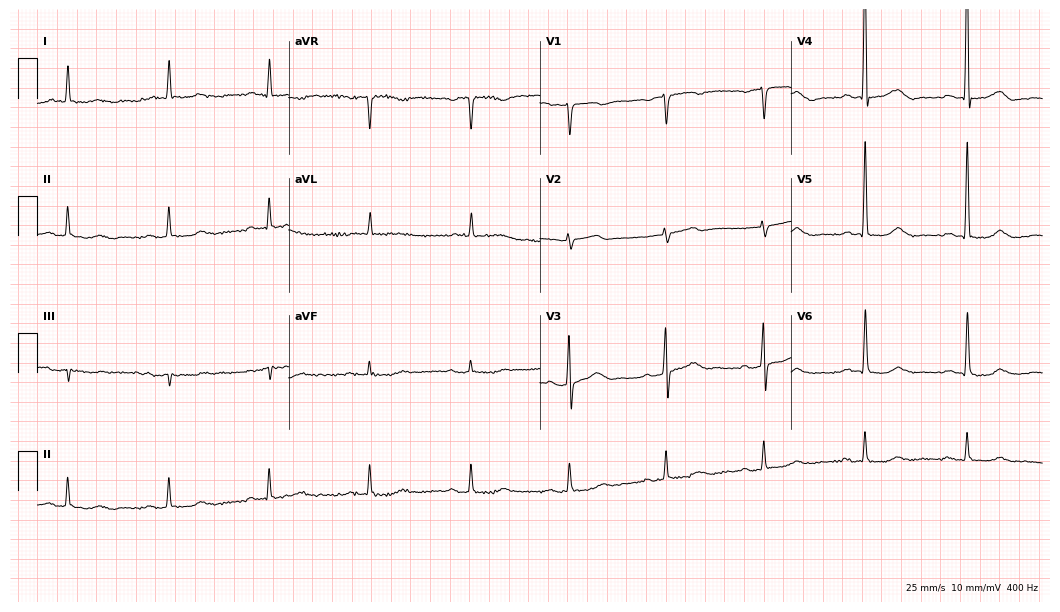
Resting 12-lead electrocardiogram (10.2-second recording at 400 Hz). Patient: a male, 77 years old. None of these six findings is recorded: first-degree AV block, right bundle branch block (RBBB), left bundle branch block (LBBB), sinus bradycardia, atrial fibrillation (AF), sinus tachycardia.